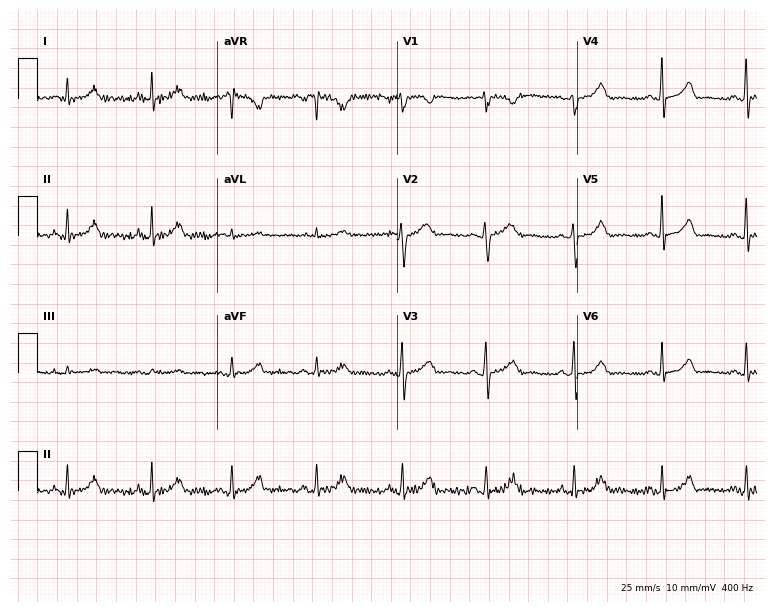
12-lead ECG from a 43-year-old female (7.3-second recording at 400 Hz). Recorded interpretation: within normal limits.